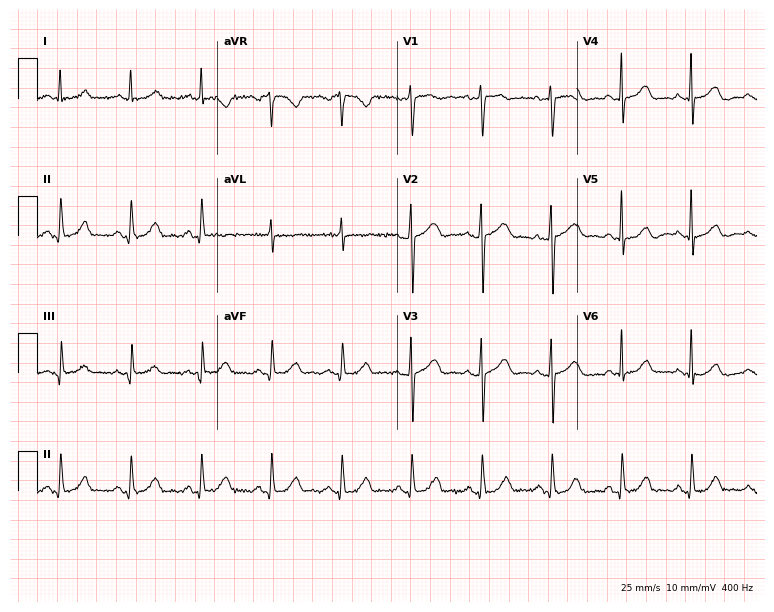
Resting 12-lead electrocardiogram. Patient: a female, 73 years old. Read as a normal ECG.